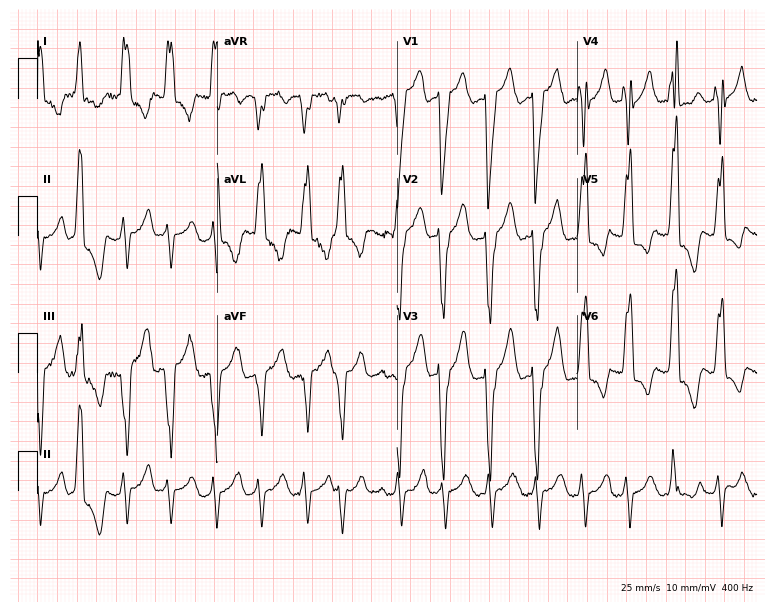
Resting 12-lead electrocardiogram (7.3-second recording at 400 Hz). Patient: an 85-year-old female. The tracing shows atrial fibrillation (AF).